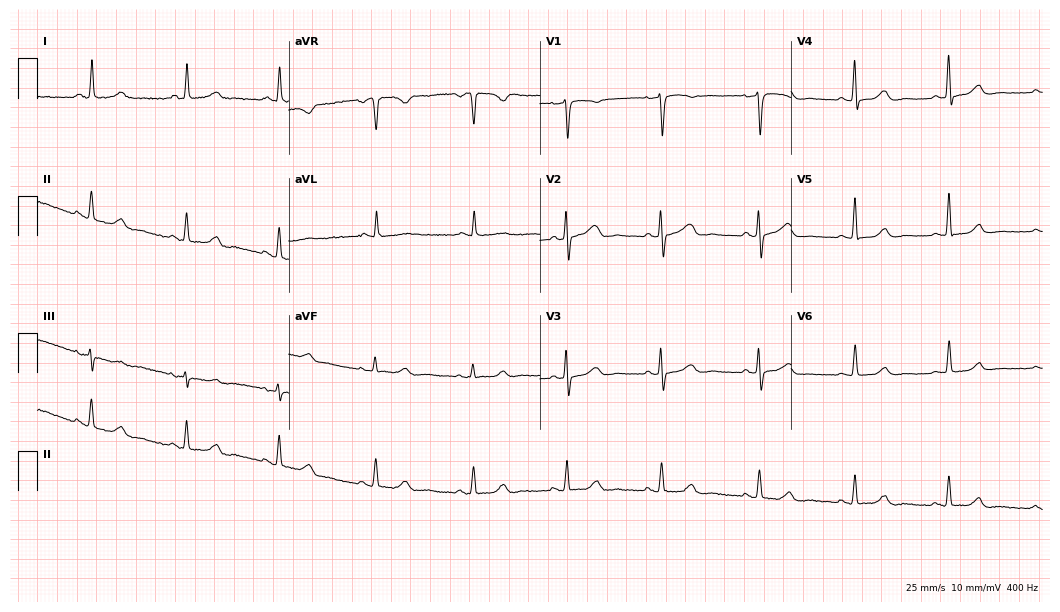
12-lead ECG from a 60-year-old woman. Labelled as a normal ECG.